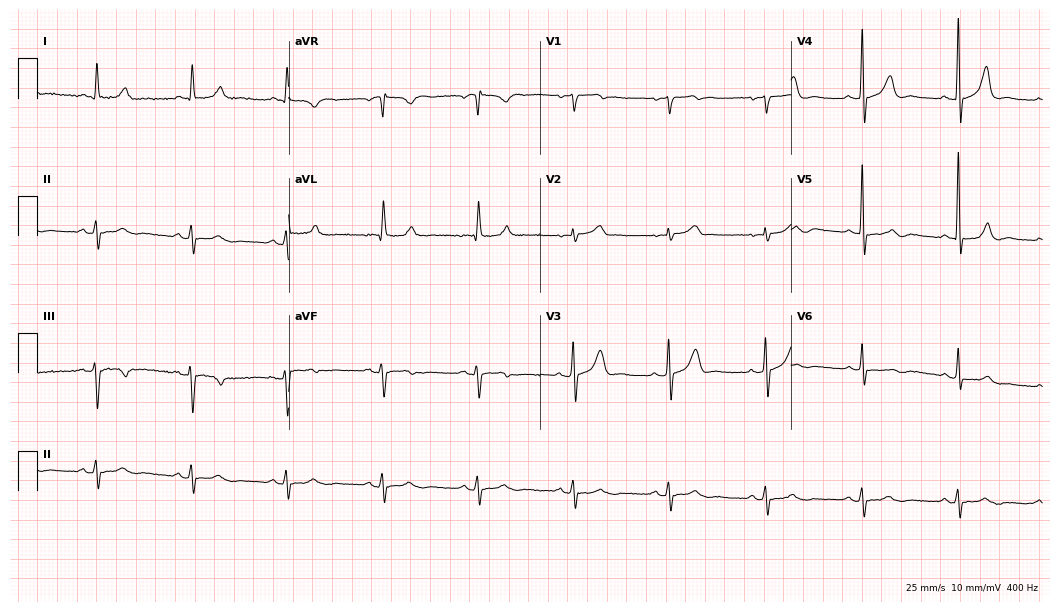
12-lead ECG from a female, 77 years old (10.2-second recording at 400 Hz). No first-degree AV block, right bundle branch block (RBBB), left bundle branch block (LBBB), sinus bradycardia, atrial fibrillation (AF) or sinus tachycardia recorded for this tracing. Findings outside these six are not listed.